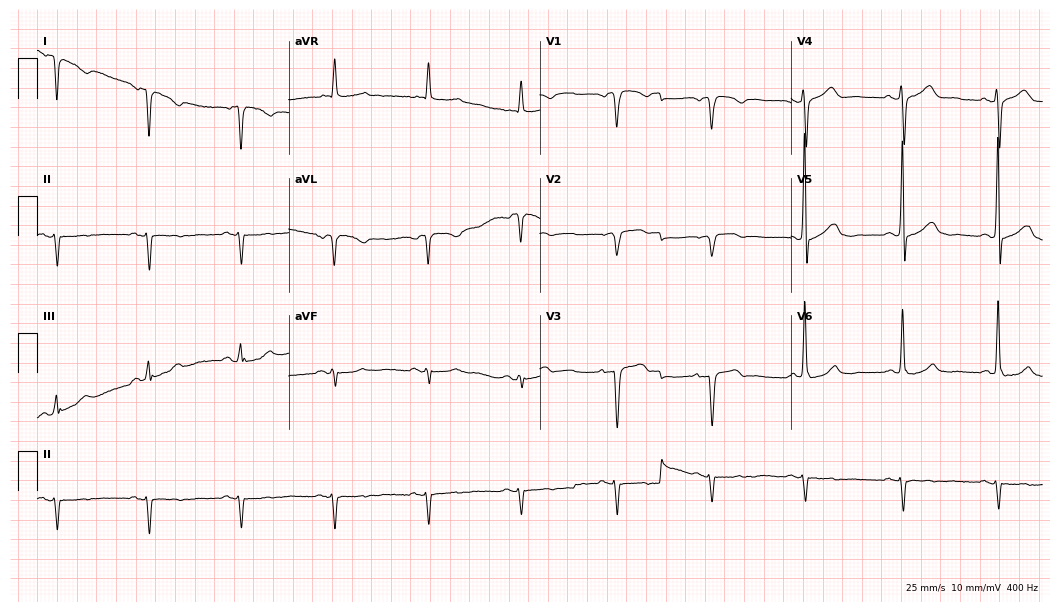
Electrocardiogram, an 83-year-old male. Of the six screened findings (first-degree AV block, right bundle branch block, left bundle branch block, sinus bradycardia, atrial fibrillation, sinus tachycardia), none is recorded. Other findings, if any, are not listed.